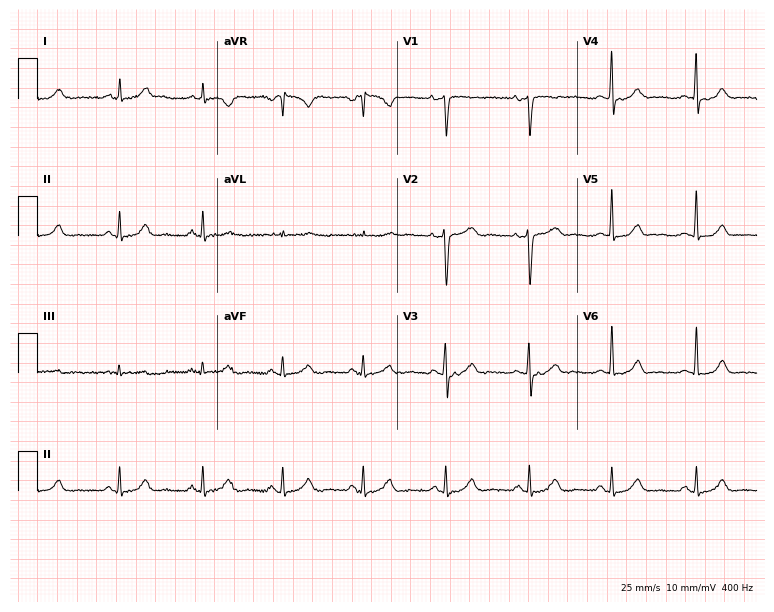
12-lead ECG (7.3-second recording at 400 Hz) from a female patient, 42 years old. Labelled as a normal ECG.